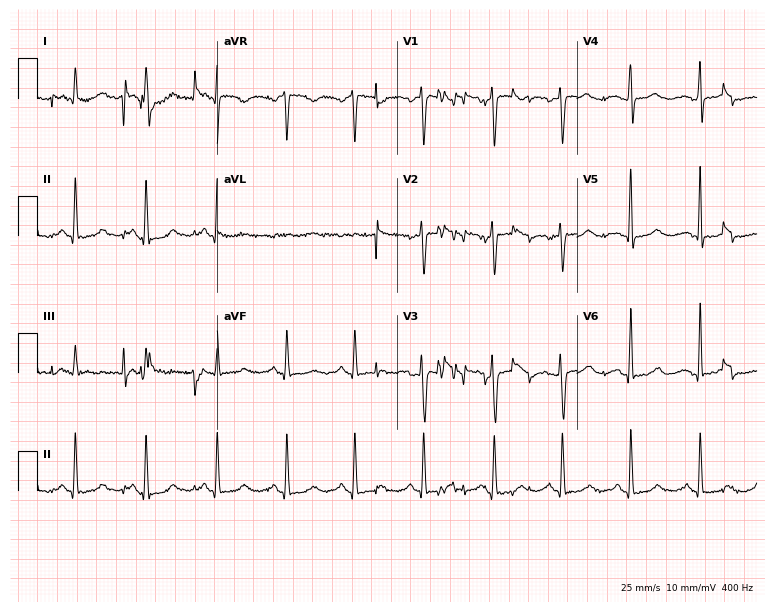
Resting 12-lead electrocardiogram (7.3-second recording at 400 Hz). Patient: a female, 45 years old. Read as a normal ECG.